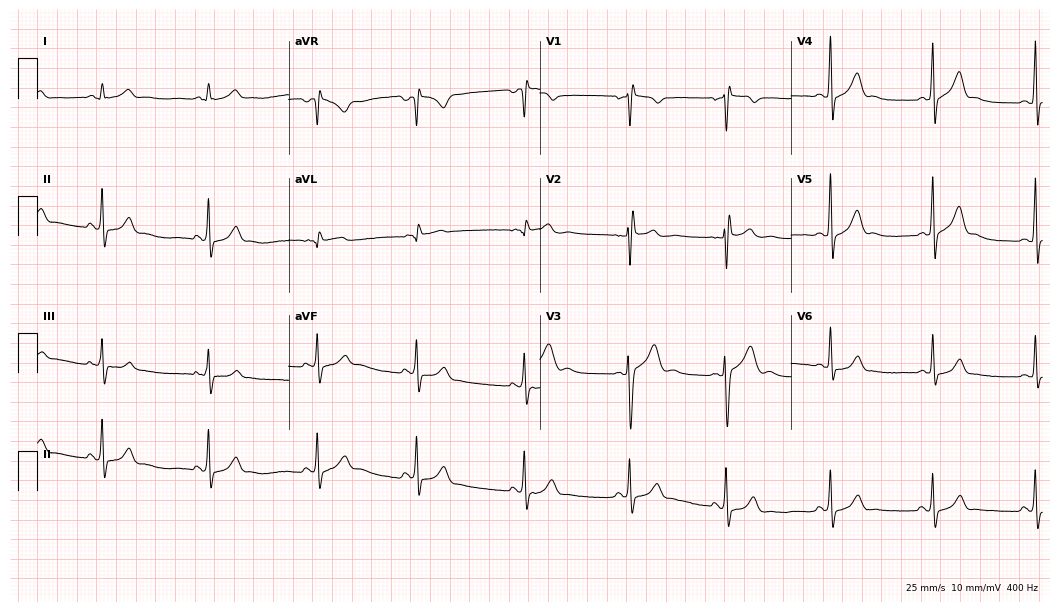
Resting 12-lead electrocardiogram (10.2-second recording at 400 Hz). Patient: a male, 21 years old. None of these six findings is recorded: first-degree AV block, right bundle branch block (RBBB), left bundle branch block (LBBB), sinus bradycardia, atrial fibrillation (AF), sinus tachycardia. Other findings, if any, are not listed.